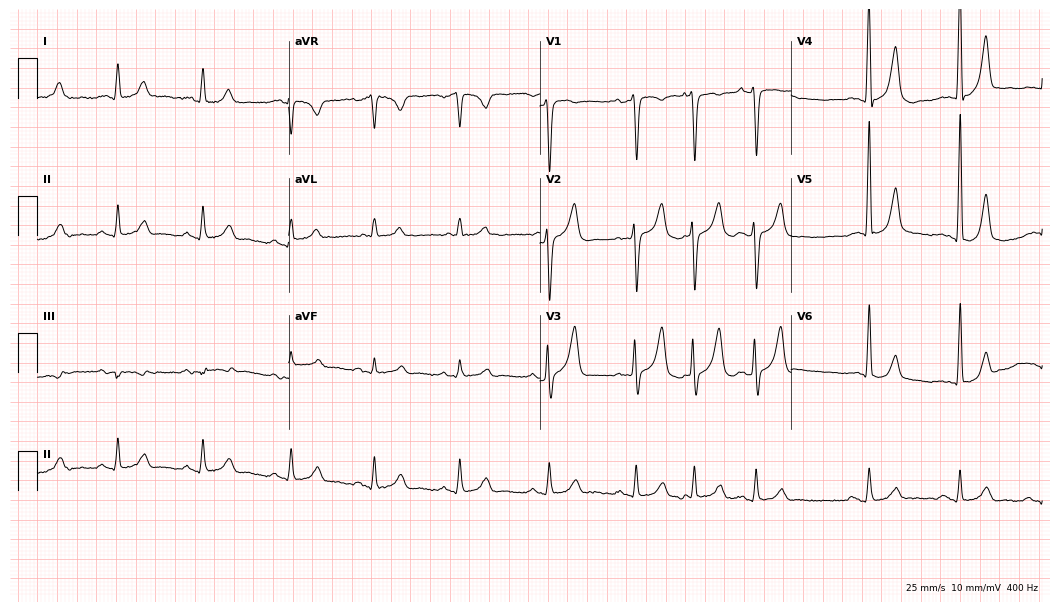
Resting 12-lead electrocardiogram (10.2-second recording at 400 Hz). Patient: a 69-year-old male. None of these six findings is recorded: first-degree AV block, right bundle branch block, left bundle branch block, sinus bradycardia, atrial fibrillation, sinus tachycardia. Findings outside these six are not listed.